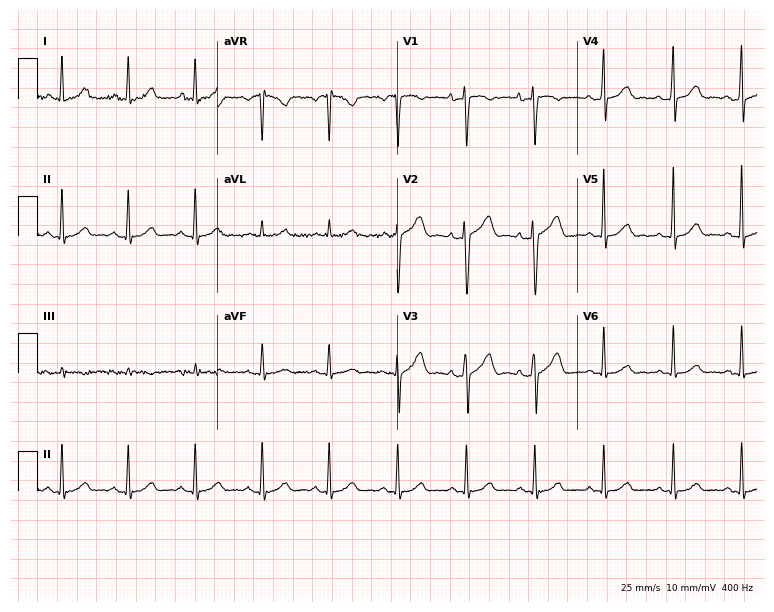
Electrocardiogram, a 45-year-old woman. Of the six screened findings (first-degree AV block, right bundle branch block, left bundle branch block, sinus bradycardia, atrial fibrillation, sinus tachycardia), none is recorded.